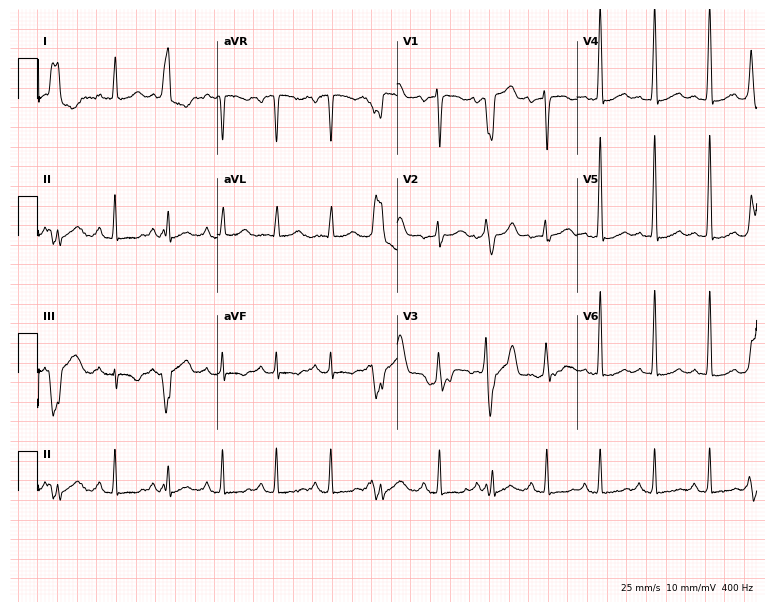
Resting 12-lead electrocardiogram (7.3-second recording at 400 Hz). Patient: a male, 53 years old. The tracing shows sinus tachycardia (a sinus rate of 100 beats per minute or more).